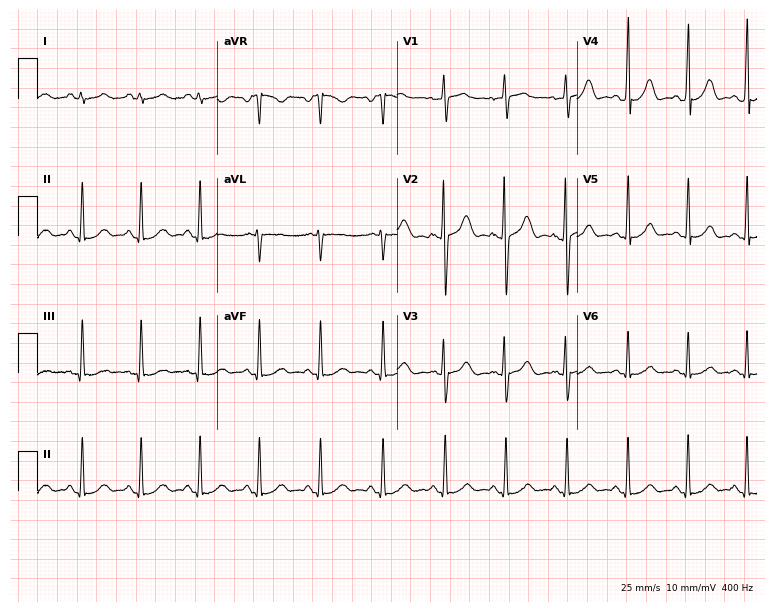
Electrocardiogram, an 18-year-old female. Overall reading on record: normal ECG.